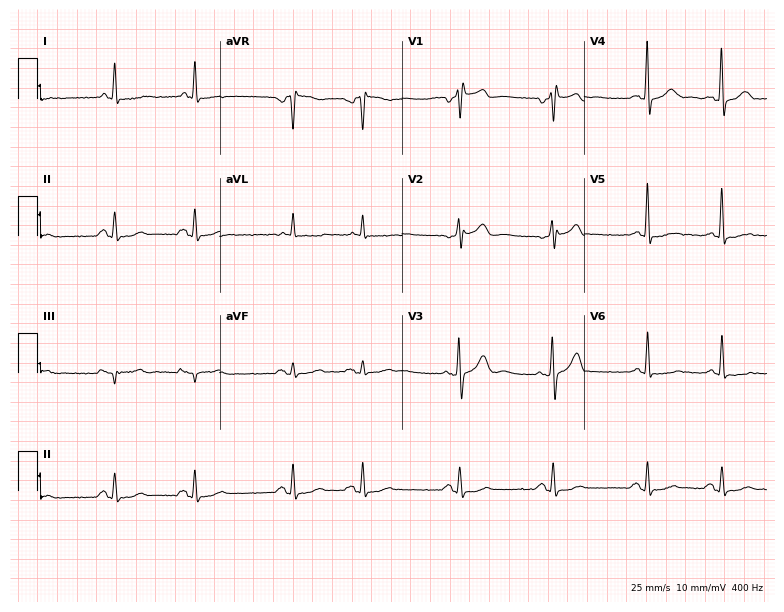
12-lead ECG from a 73-year-old male. No first-degree AV block, right bundle branch block, left bundle branch block, sinus bradycardia, atrial fibrillation or sinus tachycardia recorded for this tracing. Only these six findings were labelled.